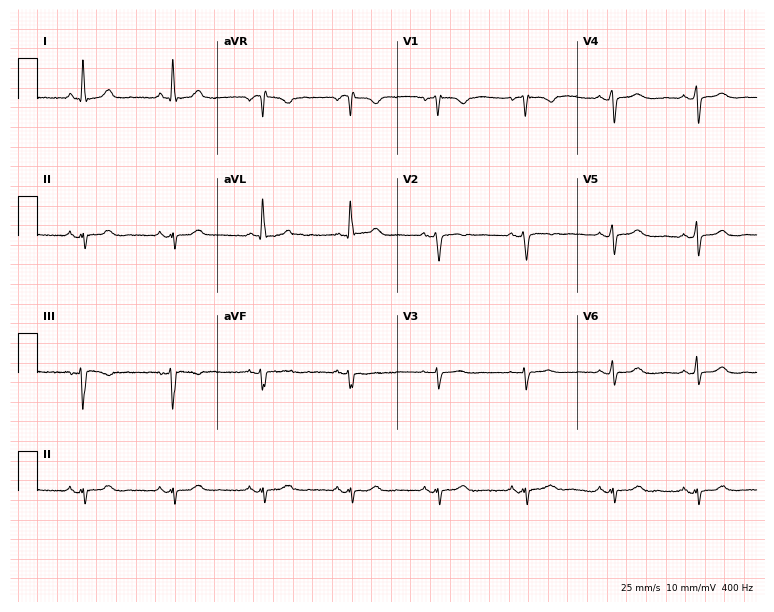
Electrocardiogram (7.3-second recording at 400 Hz), a 71-year-old woman. Of the six screened findings (first-degree AV block, right bundle branch block (RBBB), left bundle branch block (LBBB), sinus bradycardia, atrial fibrillation (AF), sinus tachycardia), none is recorded.